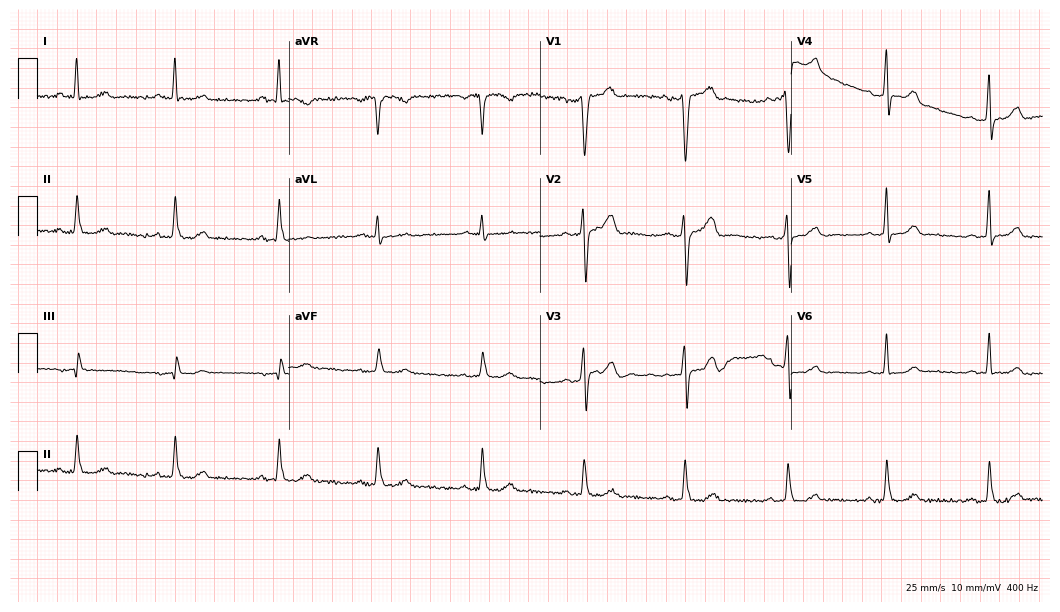
Standard 12-lead ECG recorded from a 43-year-old man. None of these six findings is recorded: first-degree AV block, right bundle branch block, left bundle branch block, sinus bradycardia, atrial fibrillation, sinus tachycardia. Findings outside these six are not listed.